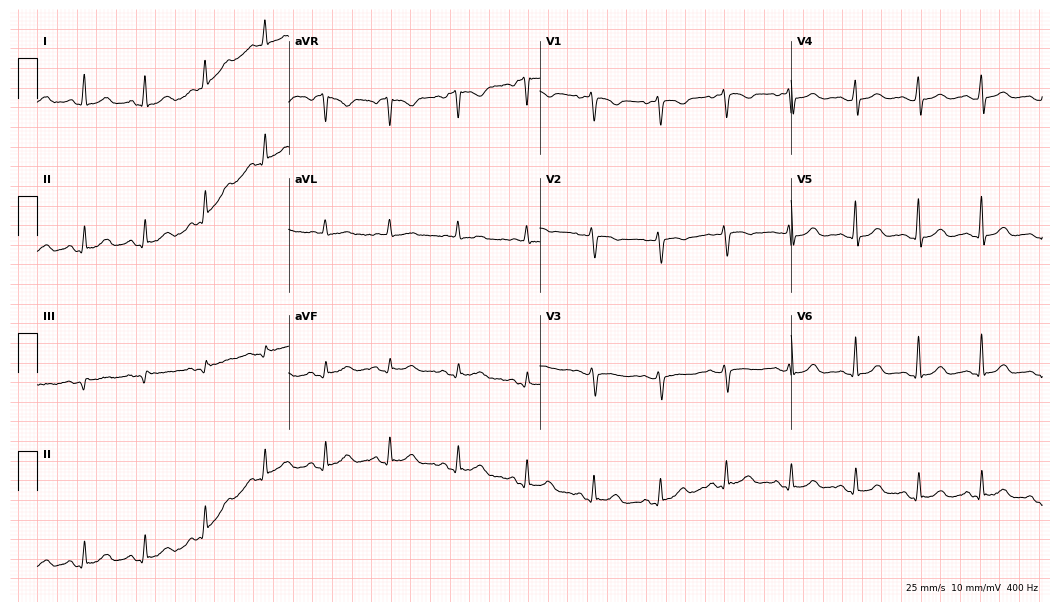
Resting 12-lead electrocardiogram. Patient: a 46-year-old woman. None of these six findings is recorded: first-degree AV block, right bundle branch block (RBBB), left bundle branch block (LBBB), sinus bradycardia, atrial fibrillation (AF), sinus tachycardia.